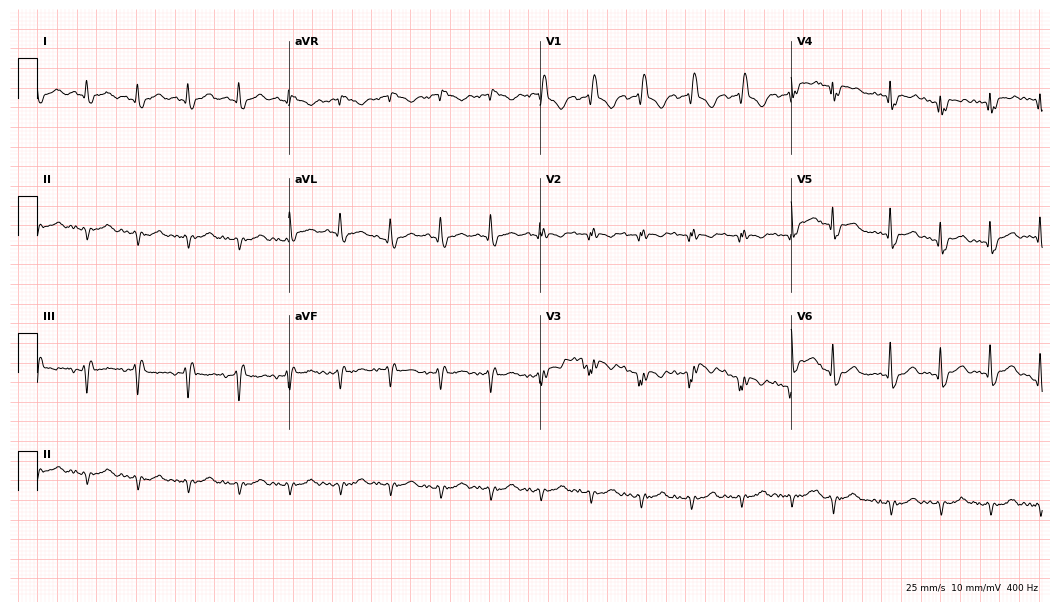
Resting 12-lead electrocardiogram (10.2-second recording at 400 Hz). Patient: a man, 71 years old. None of these six findings is recorded: first-degree AV block, right bundle branch block, left bundle branch block, sinus bradycardia, atrial fibrillation, sinus tachycardia.